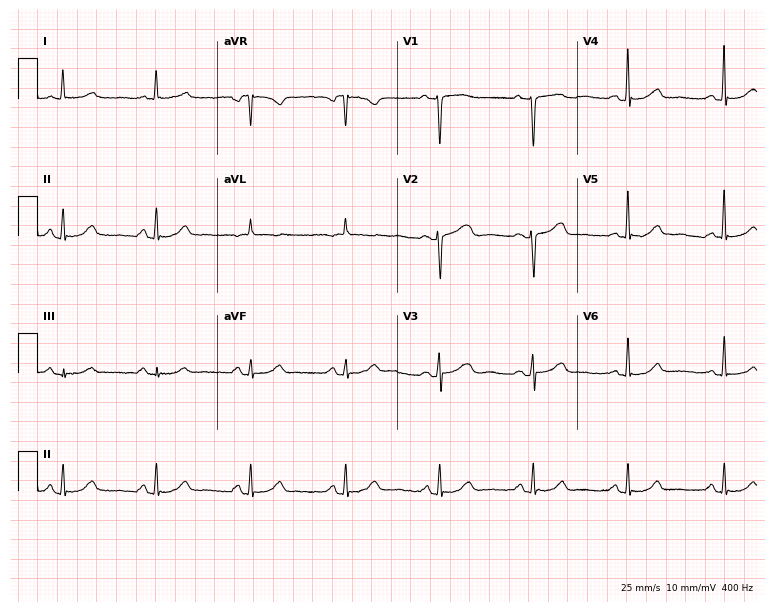
Resting 12-lead electrocardiogram. Patient: a woman, 74 years old. Read as a normal ECG.